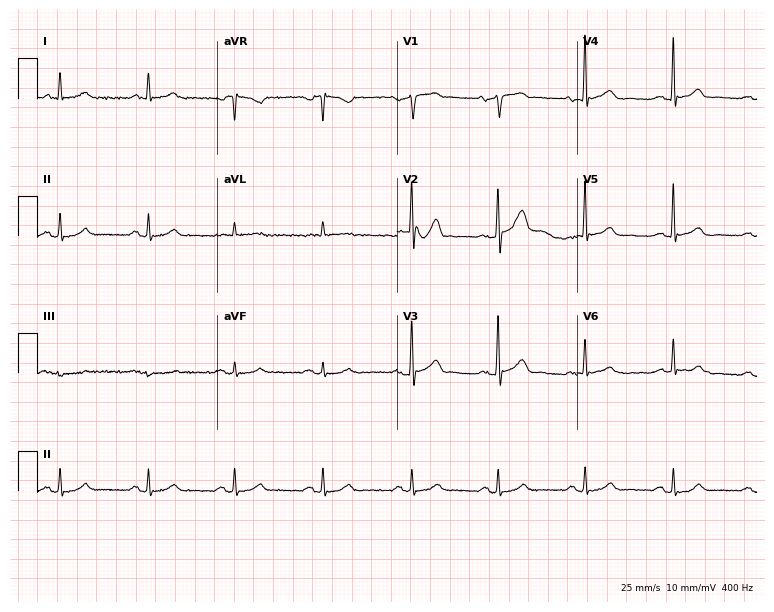
Resting 12-lead electrocardiogram. Patient: a 70-year-old male. Read as a normal ECG.